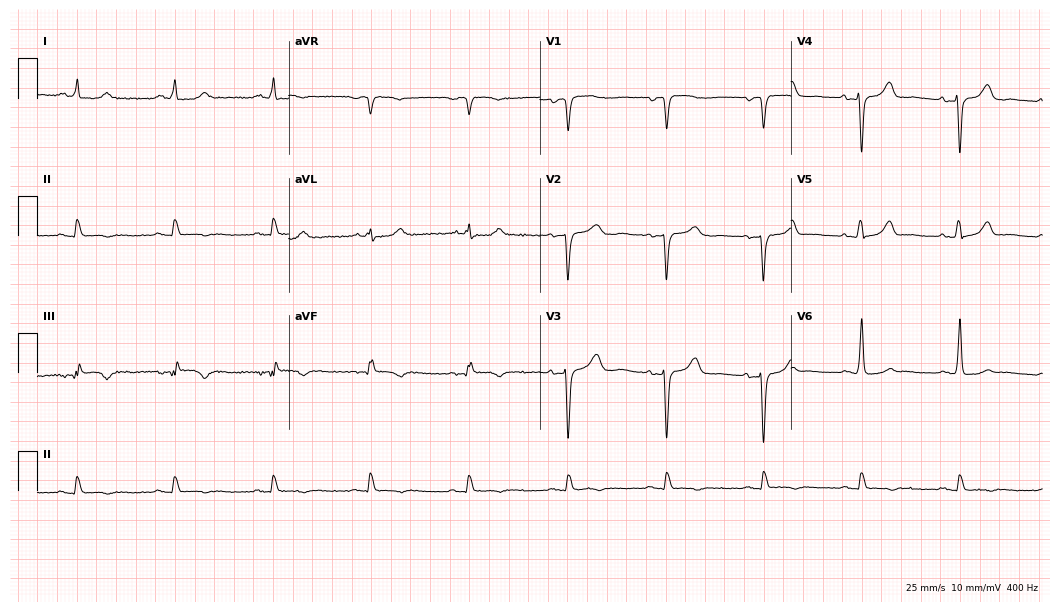
ECG — a man, 57 years old. Screened for six findings — first-degree AV block, right bundle branch block (RBBB), left bundle branch block (LBBB), sinus bradycardia, atrial fibrillation (AF), sinus tachycardia — none is recorded.